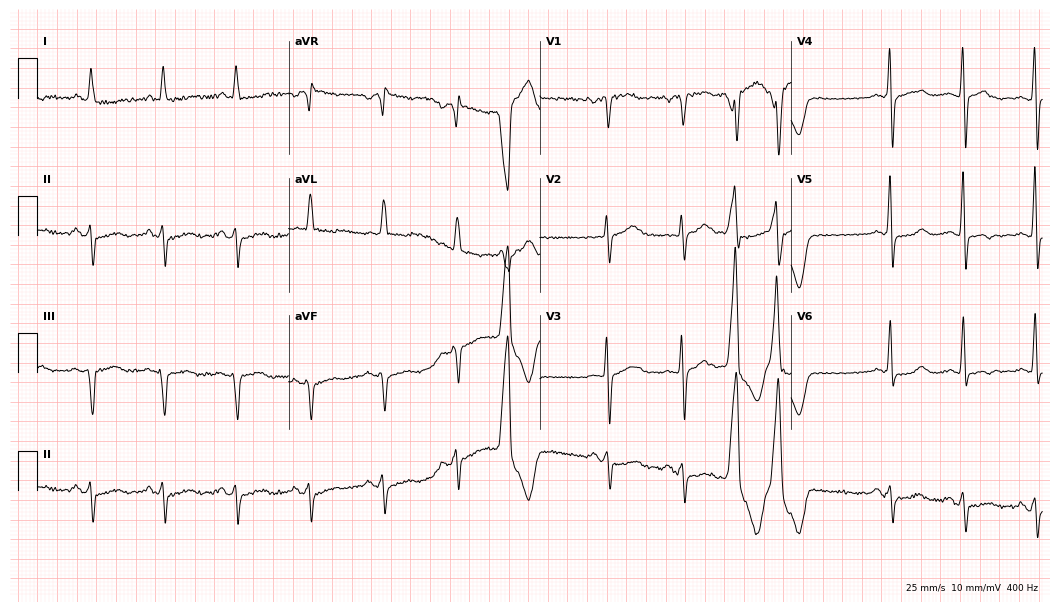
Standard 12-lead ECG recorded from a male patient, 76 years old (10.2-second recording at 400 Hz). None of these six findings is recorded: first-degree AV block, right bundle branch block, left bundle branch block, sinus bradycardia, atrial fibrillation, sinus tachycardia. Other findings, if any, are not listed.